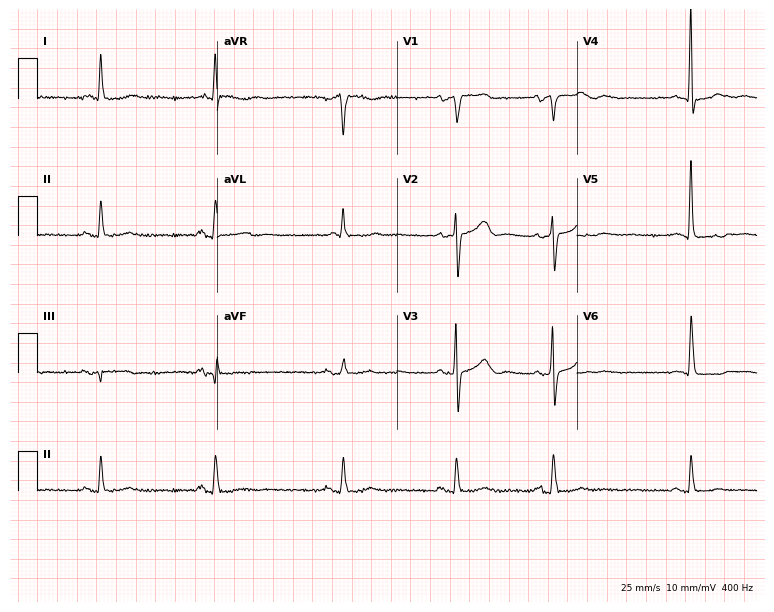
ECG (7.3-second recording at 400 Hz) — a 61-year-old female patient. Screened for six findings — first-degree AV block, right bundle branch block, left bundle branch block, sinus bradycardia, atrial fibrillation, sinus tachycardia — none is recorded.